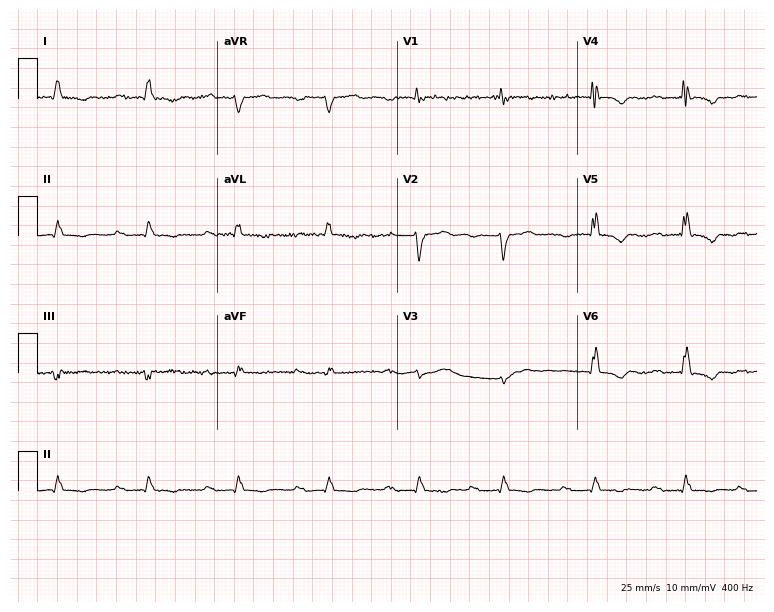
Resting 12-lead electrocardiogram. Patient: a man, 66 years old. None of these six findings is recorded: first-degree AV block, right bundle branch block, left bundle branch block, sinus bradycardia, atrial fibrillation, sinus tachycardia.